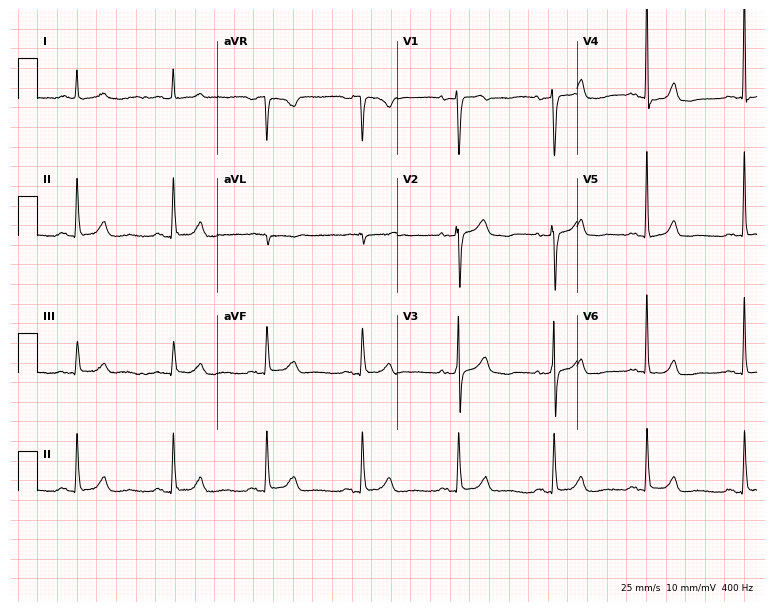
12-lead ECG from an 84-year-old female. No first-degree AV block, right bundle branch block (RBBB), left bundle branch block (LBBB), sinus bradycardia, atrial fibrillation (AF) or sinus tachycardia recorded for this tracing.